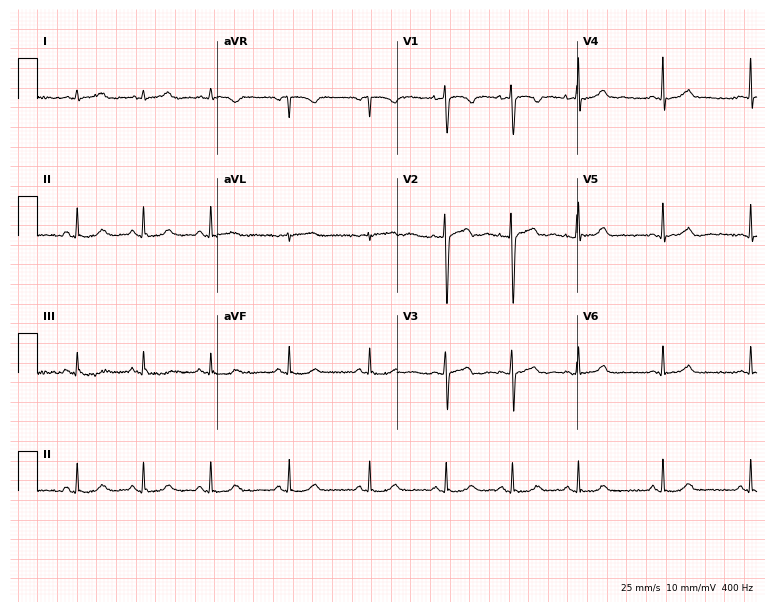
12-lead ECG from a 17-year-old female. Screened for six findings — first-degree AV block, right bundle branch block, left bundle branch block, sinus bradycardia, atrial fibrillation, sinus tachycardia — none is recorded.